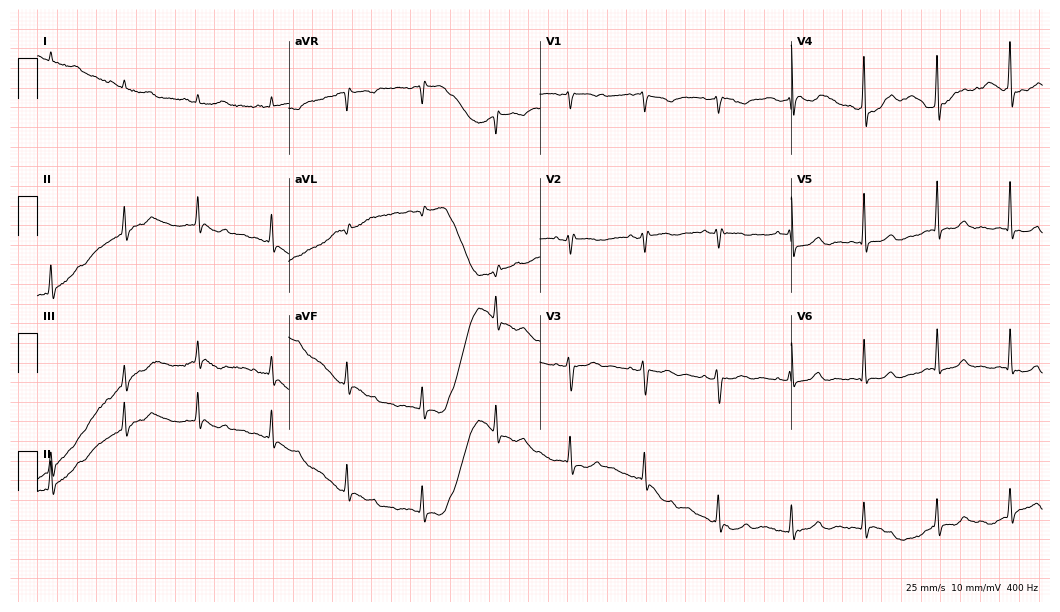
ECG (10.2-second recording at 400 Hz) — a 50-year-old female. Screened for six findings — first-degree AV block, right bundle branch block (RBBB), left bundle branch block (LBBB), sinus bradycardia, atrial fibrillation (AF), sinus tachycardia — none is recorded. Only these six findings were labelled.